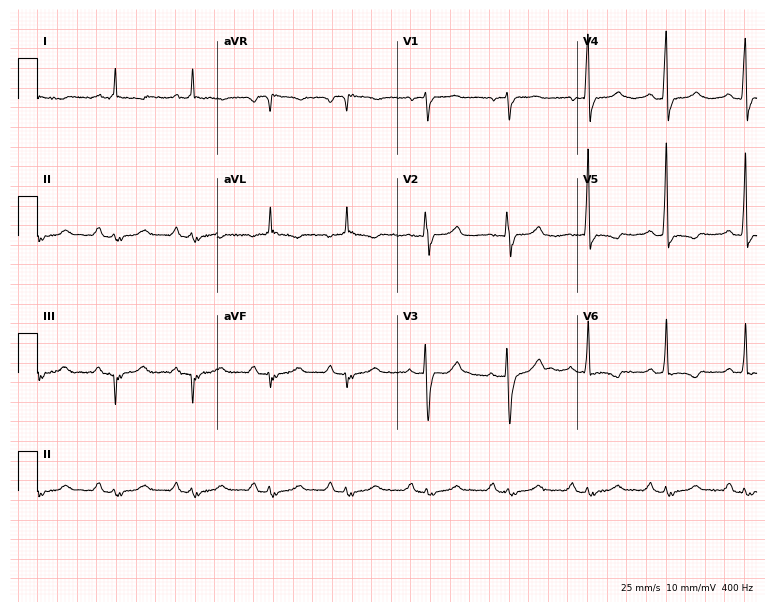
Standard 12-lead ECG recorded from a woman, 70 years old. None of these six findings is recorded: first-degree AV block, right bundle branch block (RBBB), left bundle branch block (LBBB), sinus bradycardia, atrial fibrillation (AF), sinus tachycardia. Findings outside these six are not listed.